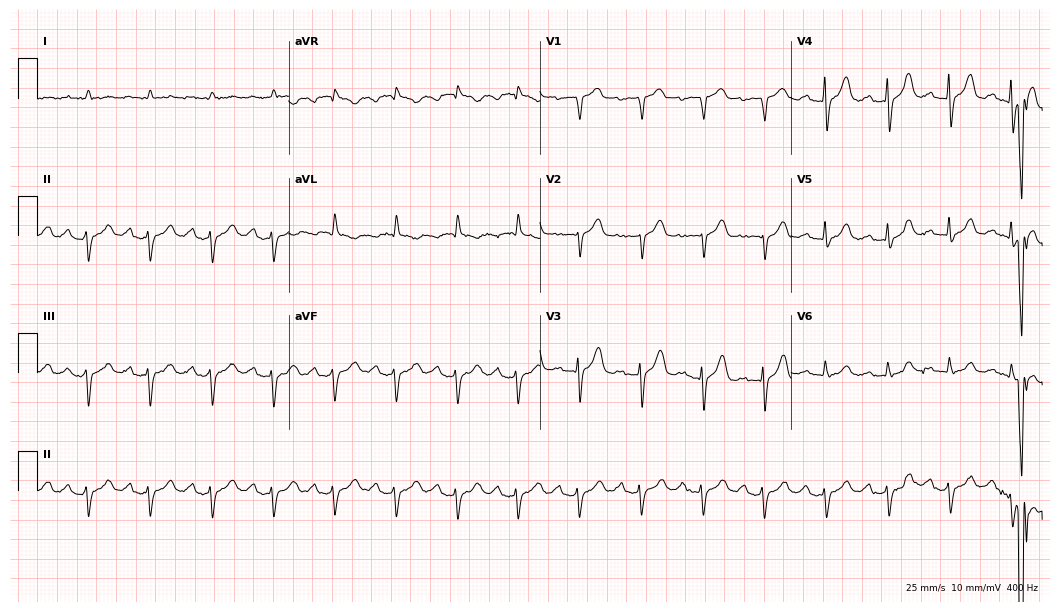
Resting 12-lead electrocardiogram (10.2-second recording at 400 Hz). Patient: a 79-year-old male. The tracing shows first-degree AV block.